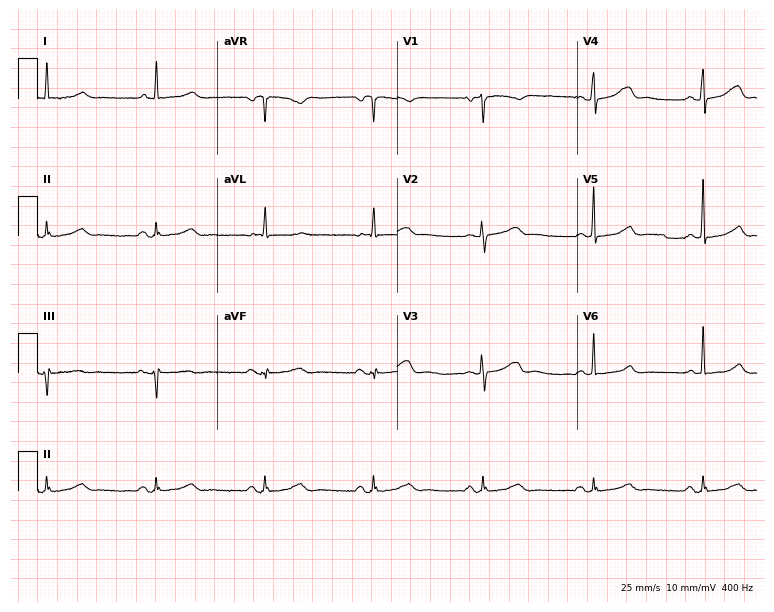
Electrocardiogram, a female, 68 years old. Of the six screened findings (first-degree AV block, right bundle branch block, left bundle branch block, sinus bradycardia, atrial fibrillation, sinus tachycardia), none is recorded.